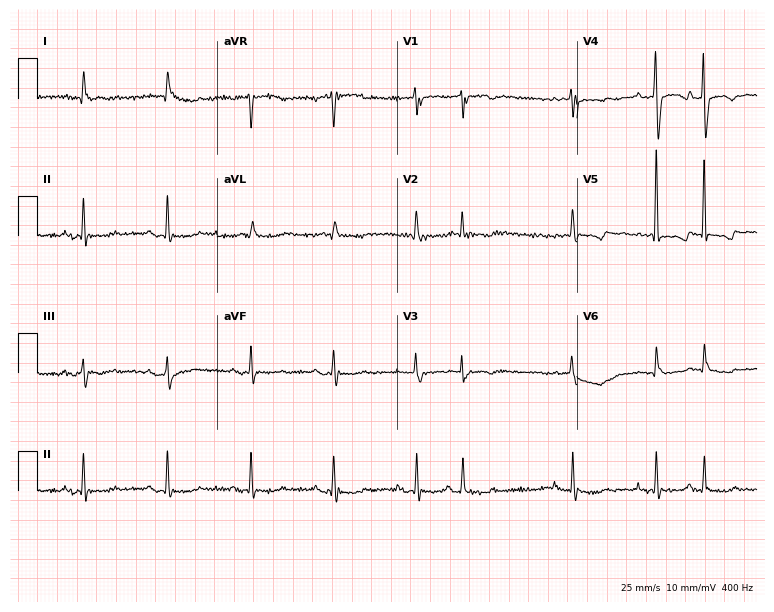
12-lead ECG from a 78-year-old female patient. Screened for six findings — first-degree AV block, right bundle branch block, left bundle branch block, sinus bradycardia, atrial fibrillation, sinus tachycardia — none is recorded. Findings outside these six are not listed.